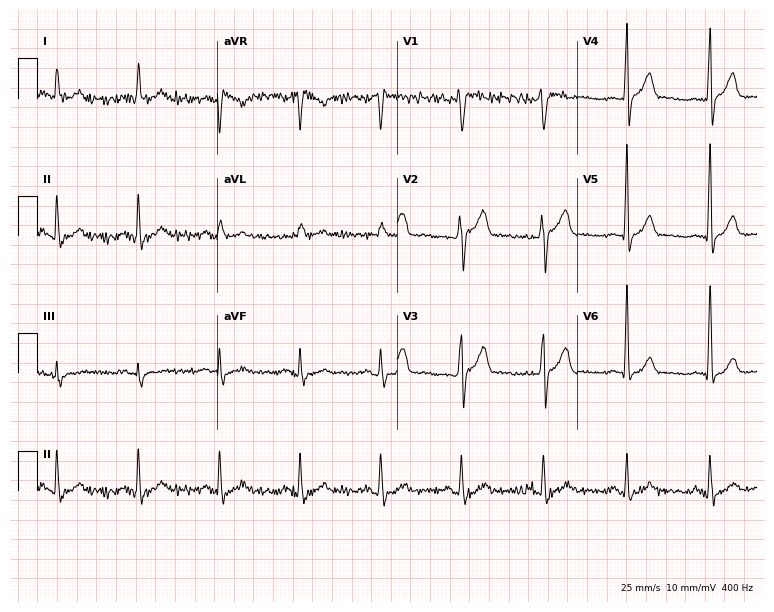
ECG — a 51-year-old man. Screened for six findings — first-degree AV block, right bundle branch block (RBBB), left bundle branch block (LBBB), sinus bradycardia, atrial fibrillation (AF), sinus tachycardia — none is recorded. Only these six findings were labelled.